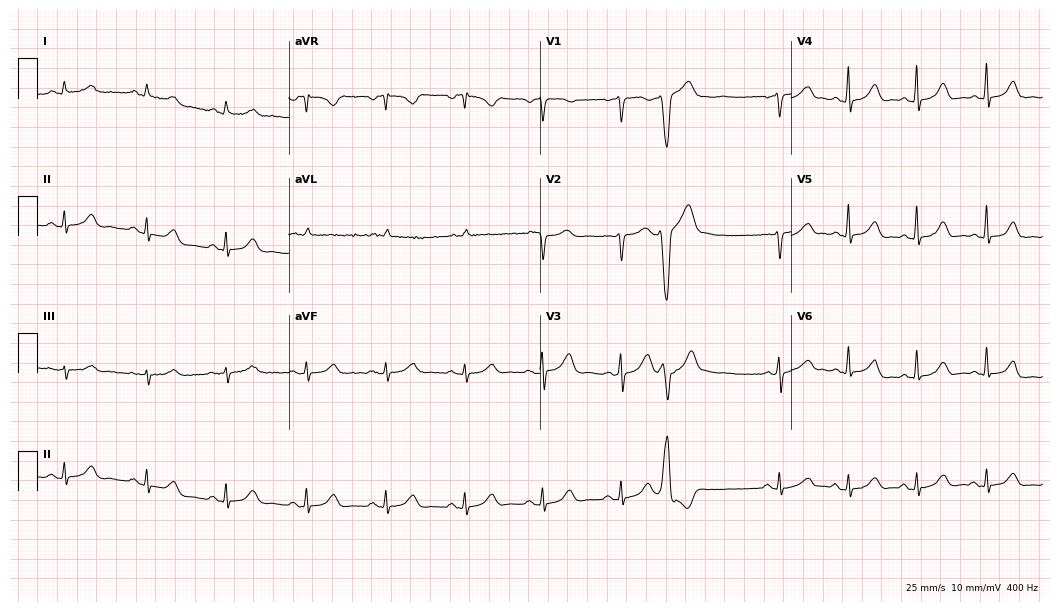
12-lead ECG from a woman, 48 years old. Screened for six findings — first-degree AV block, right bundle branch block (RBBB), left bundle branch block (LBBB), sinus bradycardia, atrial fibrillation (AF), sinus tachycardia — none is recorded. Only these six findings were labelled.